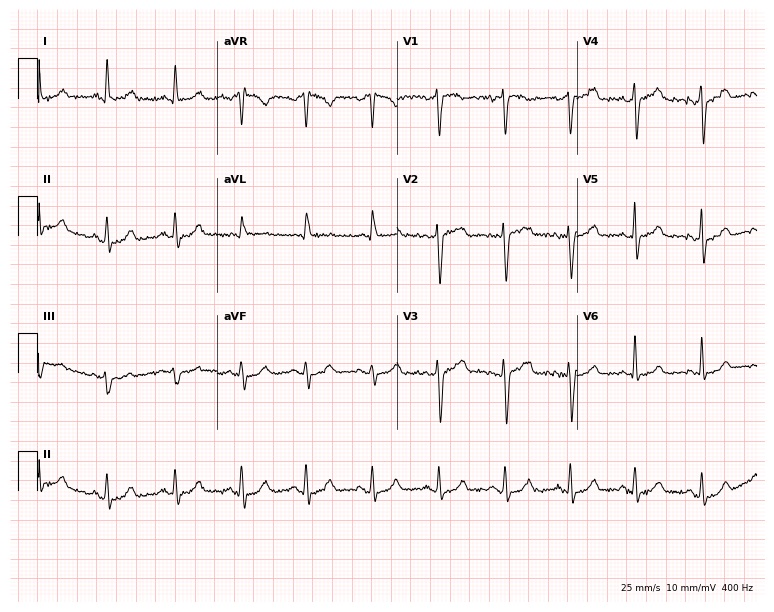
Resting 12-lead electrocardiogram (7.3-second recording at 400 Hz). Patient: a 52-year-old female. Read as a normal ECG.